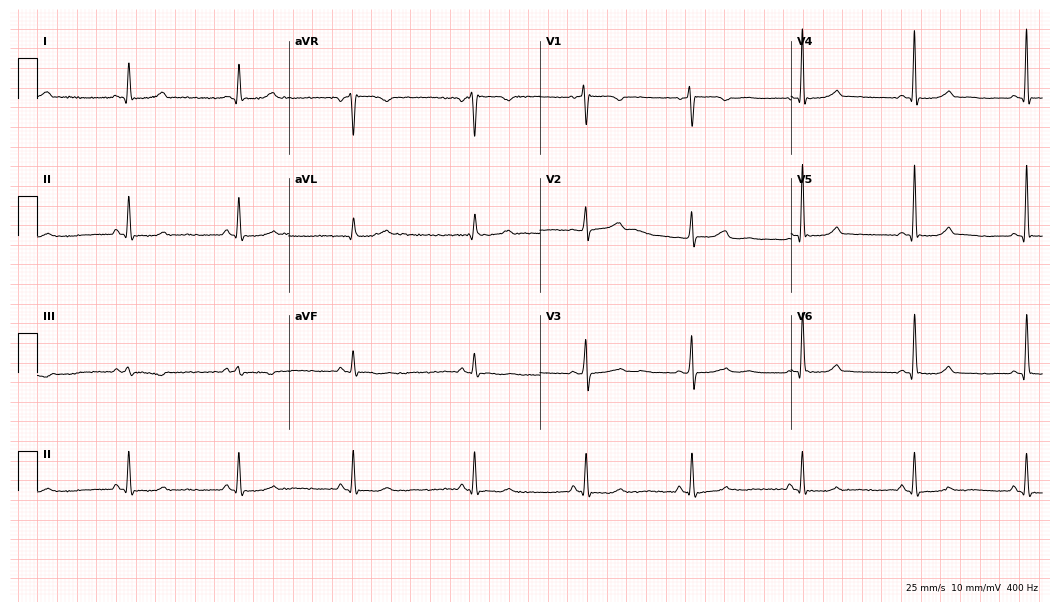
ECG — a woman, 55 years old. Labelled as a normal ECG.